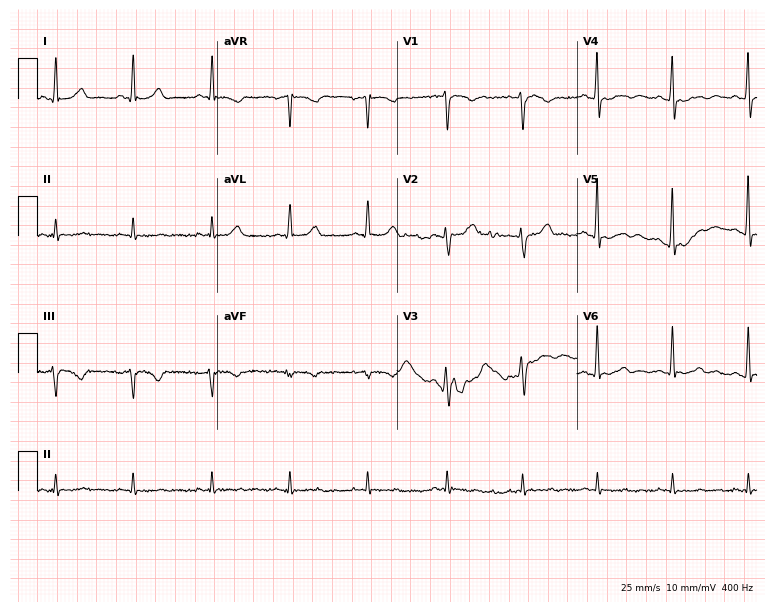
Electrocardiogram (7.3-second recording at 400 Hz), a 31-year-old male patient. Of the six screened findings (first-degree AV block, right bundle branch block, left bundle branch block, sinus bradycardia, atrial fibrillation, sinus tachycardia), none is recorded.